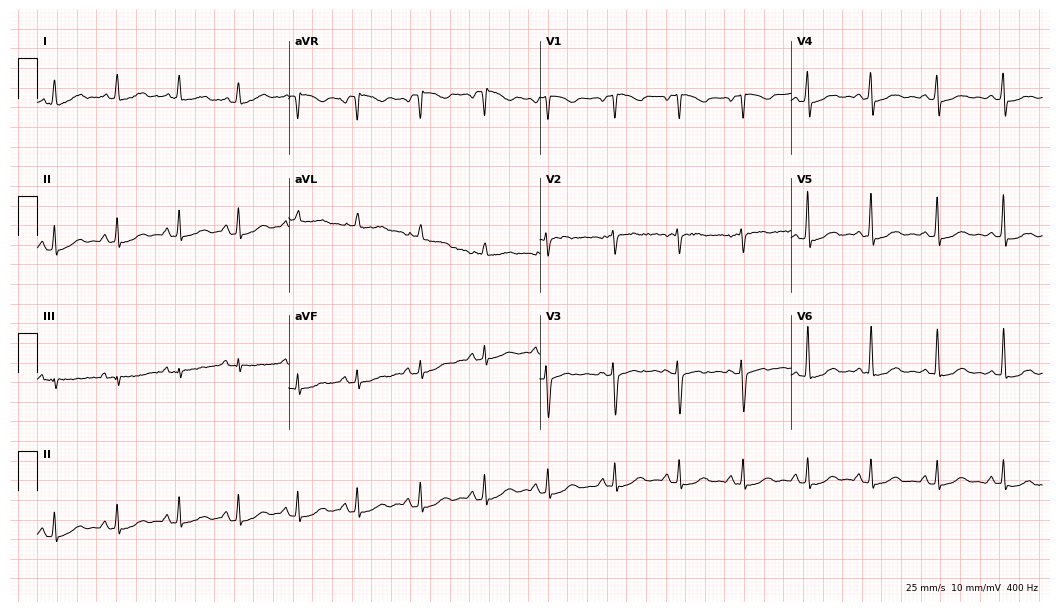
Resting 12-lead electrocardiogram. Patient: a woman, 37 years old. Read as a normal ECG.